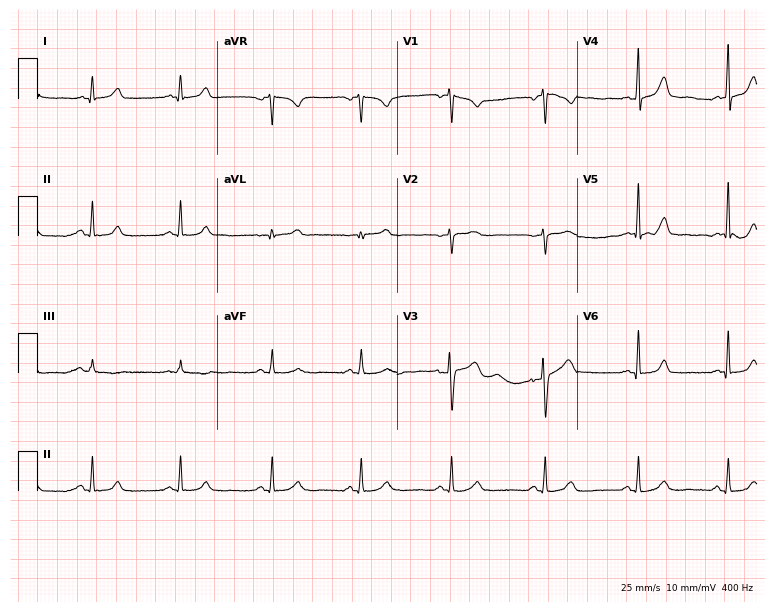
Resting 12-lead electrocardiogram. Patient: a female, 29 years old. Read as a normal ECG.